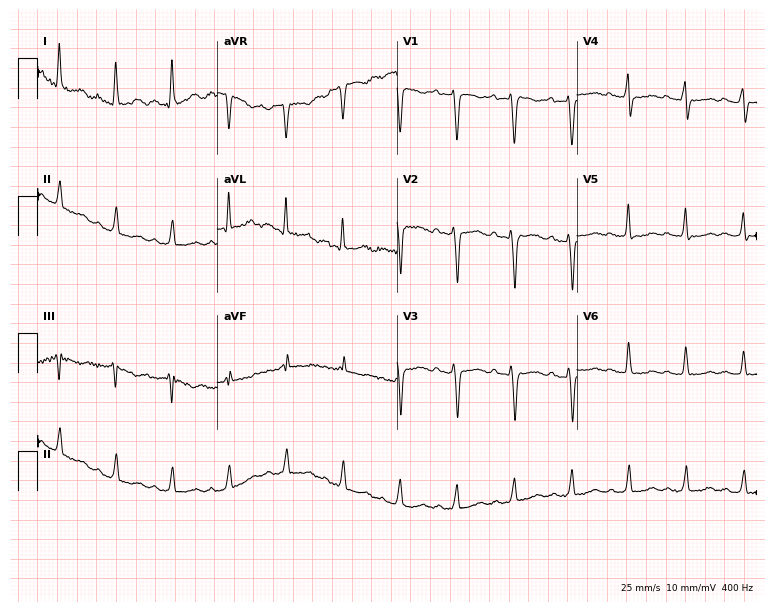
ECG — a woman, 56 years old. Findings include sinus tachycardia (a sinus rate of 100 beats per minute or more).